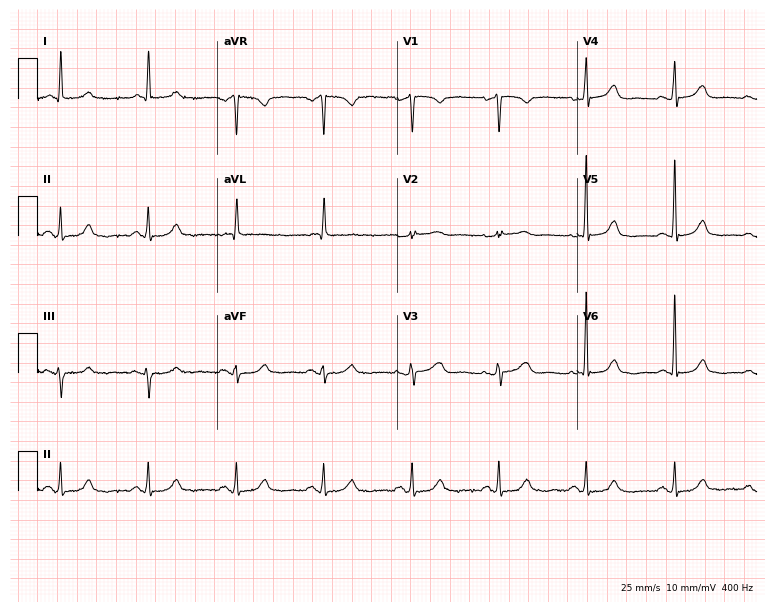
Electrocardiogram, a 75-year-old female patient. Overall reading on record: normal ECG.